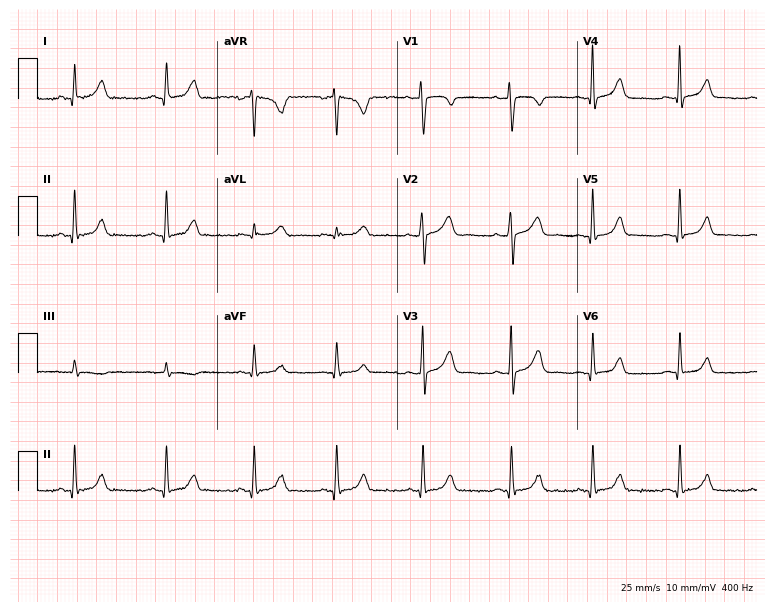
Electrocardiogram (7.3-second recording at 400 Hz), a 33-year-old woman. Overall reading on record: normal ECG.